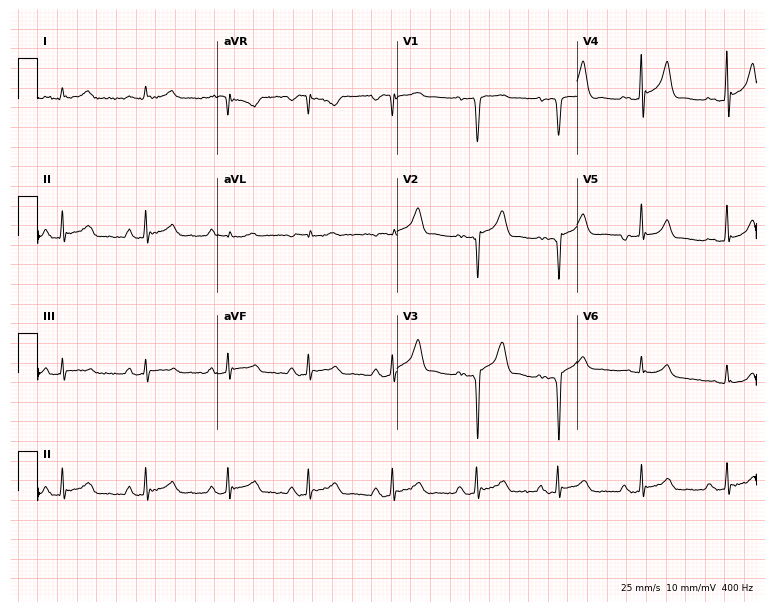
Standard 12-lead ECG recorded from a 54-year-old man (7.3-second recording at 400 Hz). None of these six findings is recorded: first-degree AV block, right bundle branch block, left bundle branch block, sinus bradycardia, atrial fibrillation, sinus tachycardia.